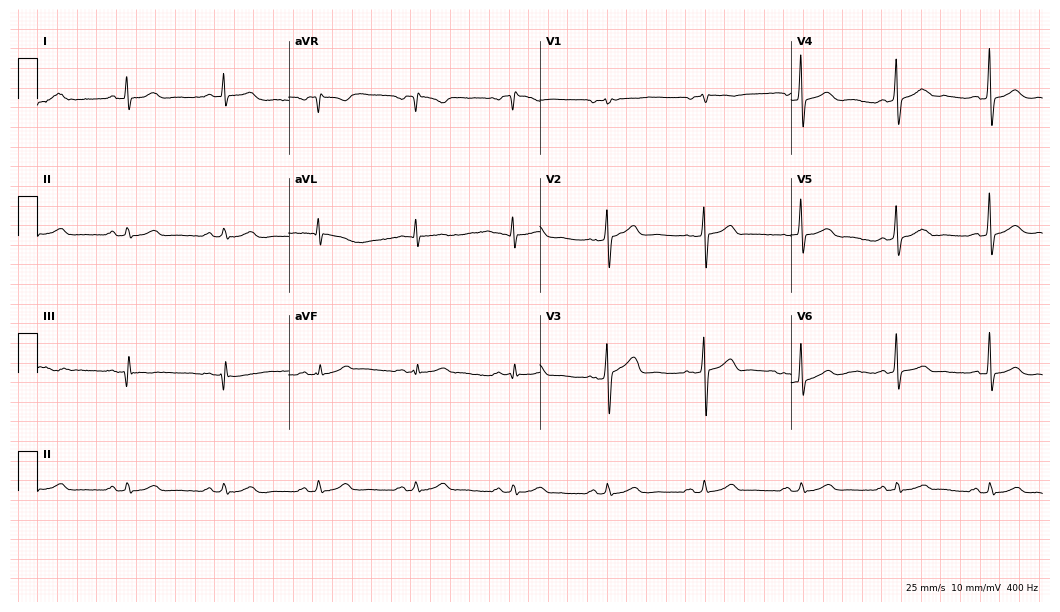
Electrocardiogram (10.2-second recording at 400 Hz), a male patient, 65 years old. Overall reading on record: normal ECG.